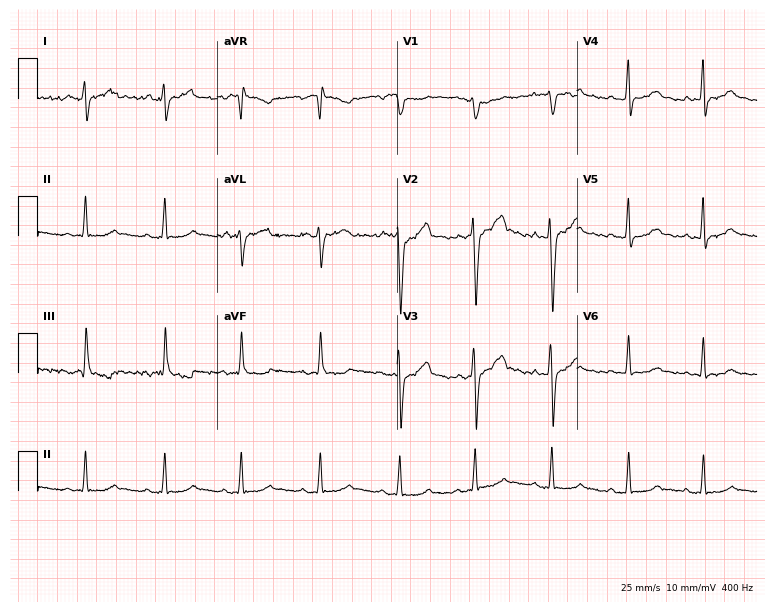
12-lead ECG from a woman, 25 years old (7.3-second recording at 400 Hz). Recorded interpretation: within normal limits.